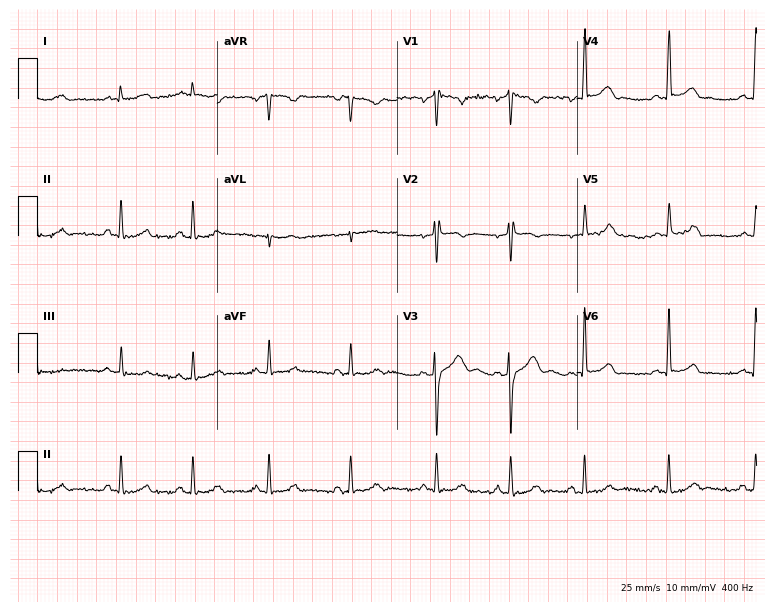
12-lead ECG from a female, 26 years old. Labelled as a normal ECG.